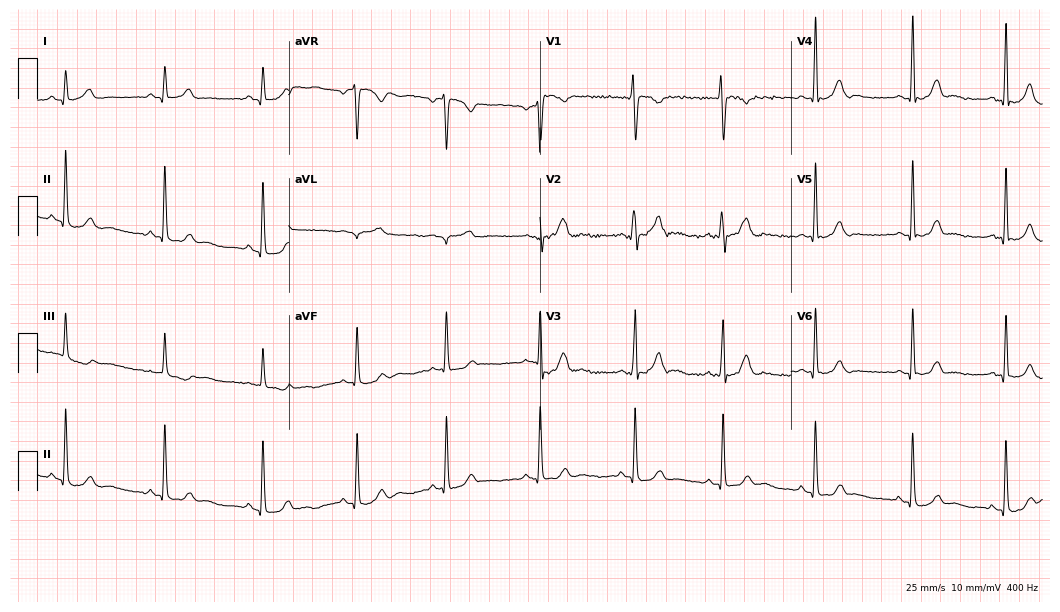
Electrocardiogram, a 19-year-old woman. Overall reading on record: normal ECG.